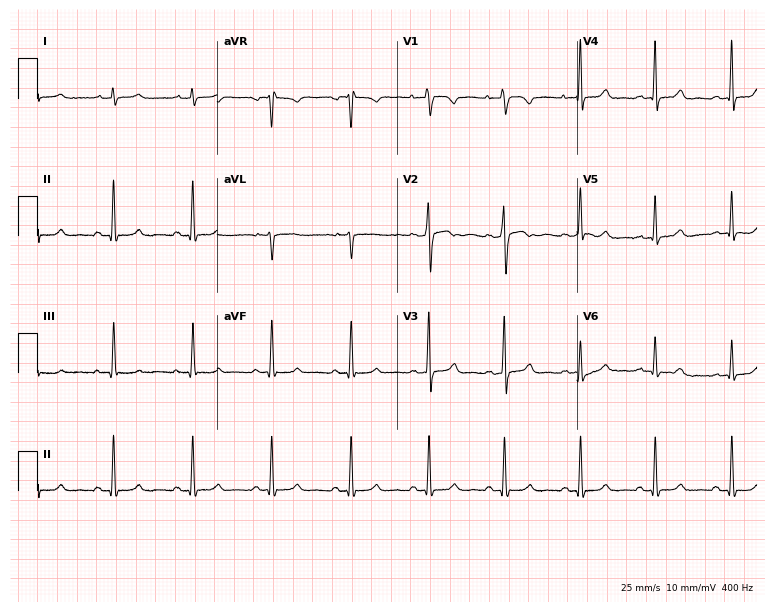
ECG (7.3-second recording at 400 Hz) — a woman, 32 years old. Labelled as a normal ECG.